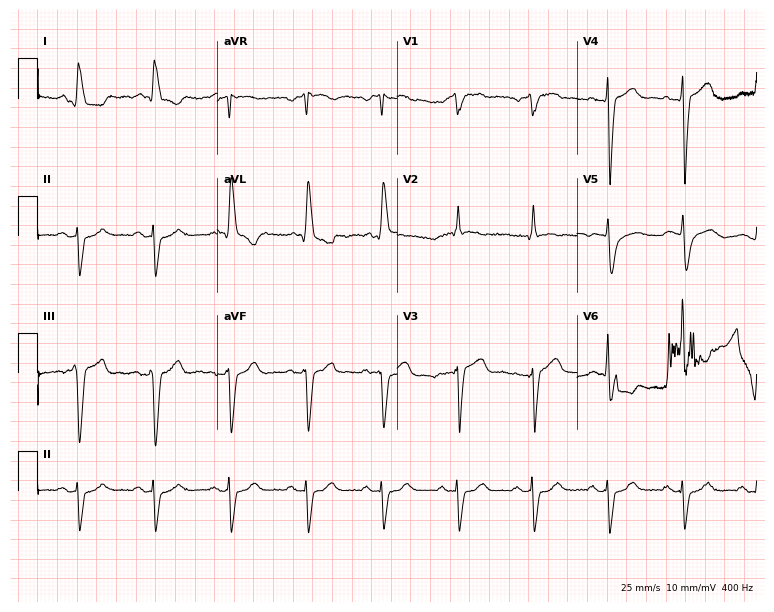
Standard 12-lead ECG recorded from a male, 65 years old. The tracing shows left bundle branch block.